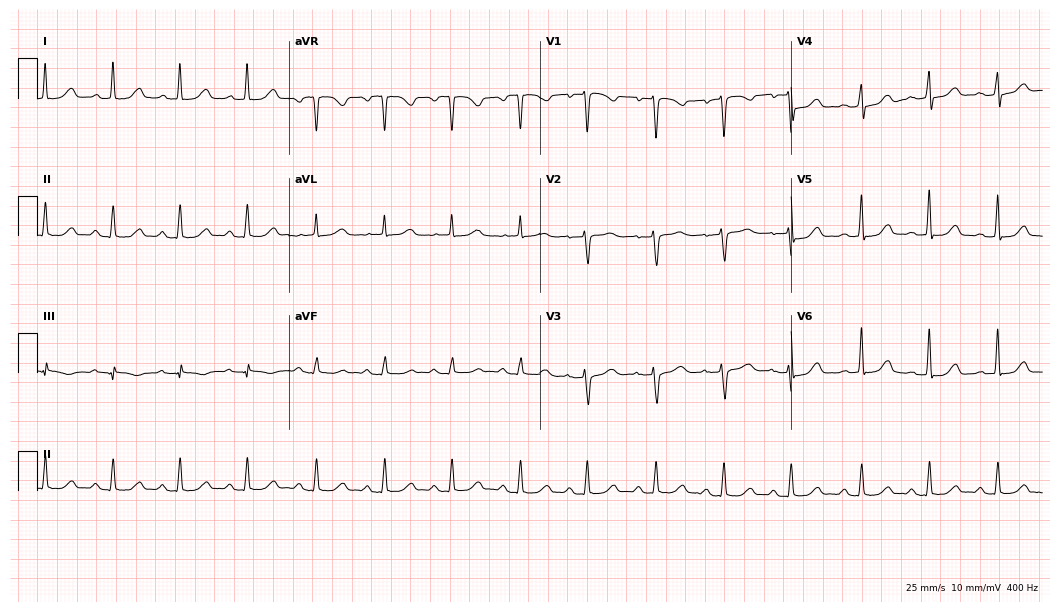
12-lead ECG (10.2-second recording at 400 Hz) from a 56-year-old woman. Labelled as a normal ECG.